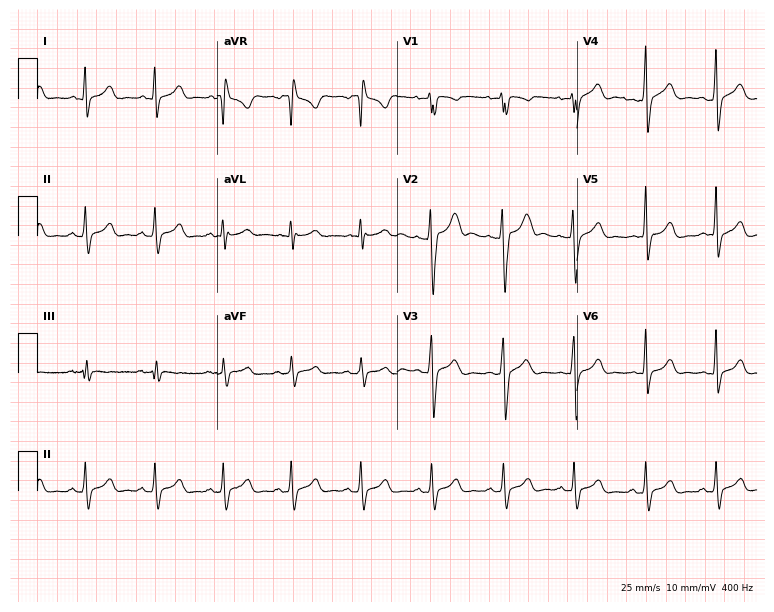
Electrocardiogram (7.3-second recording at 400 Hz), a male, 32 years old. Overall reading on record: normal ECG.